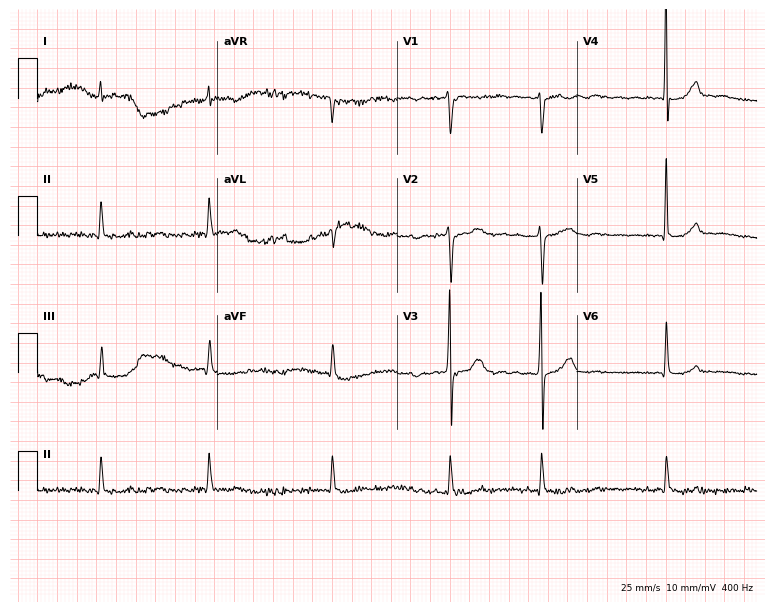
Standard 12-lead ECG recorded from a 39-year-old male (7.3-second recording at 400 Hz). The tracing shows atrial fibrillation.